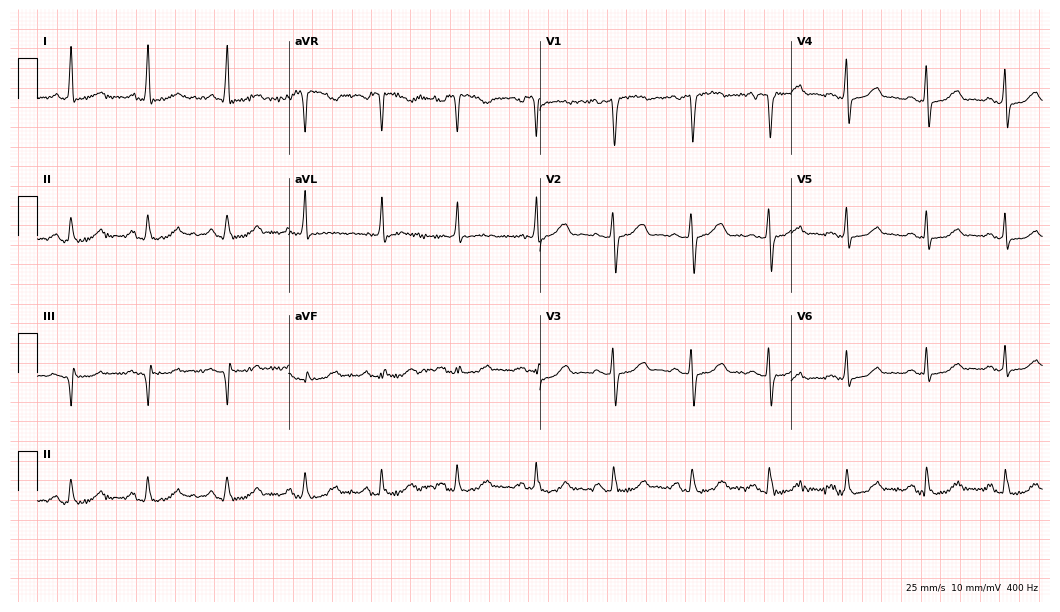
ECG (10.2-second recording at 400 Hz) — a 59-year-old woman. Labelled as a normal ECG.